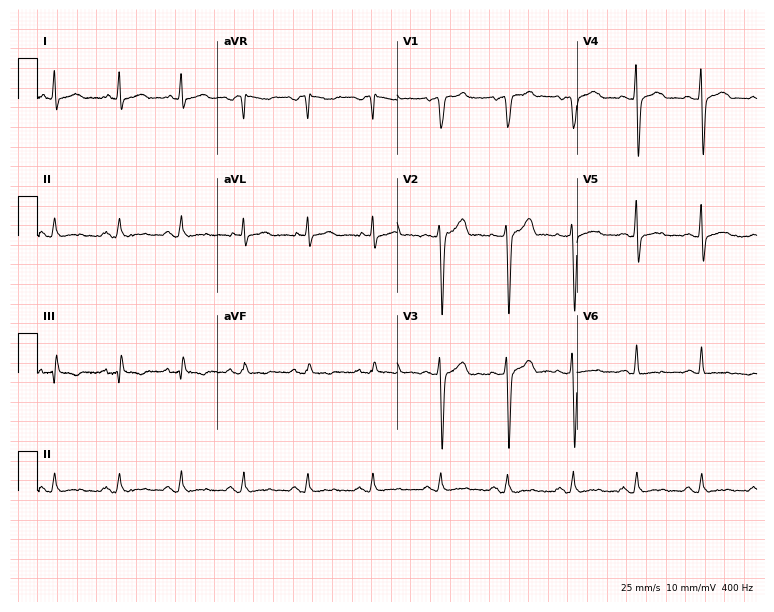
Resting 12-lead electrocardiogram (7.3-second recording at 400 Hz). Patient: a 38-year-old male. Read as a normal ECG.